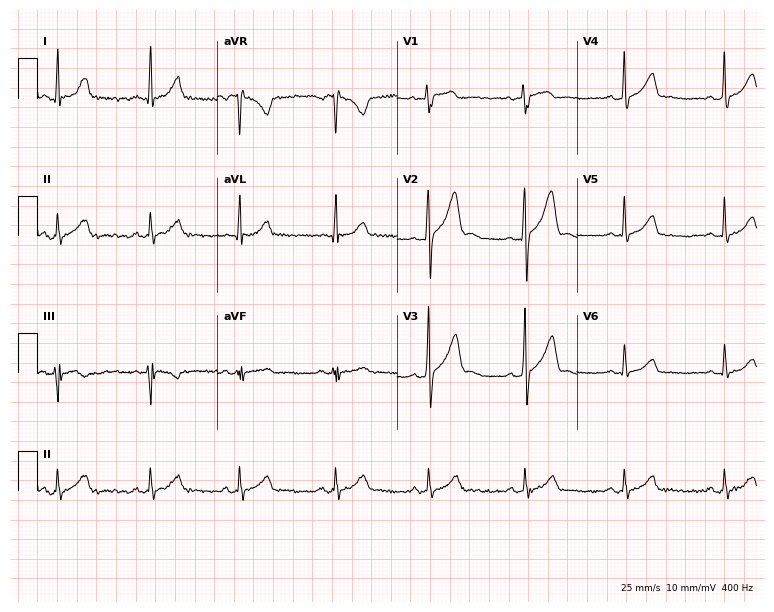
ECG — a 31-year-old man. Labelled as a normal ECG.